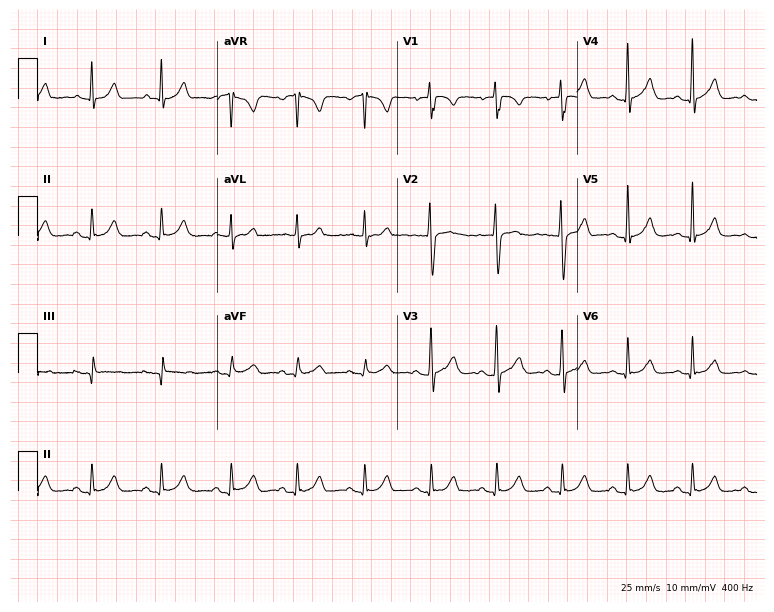
ECG (7.3-second recording at 400 Hz) — a male, 39 years old. Labelled as a normal ECG.